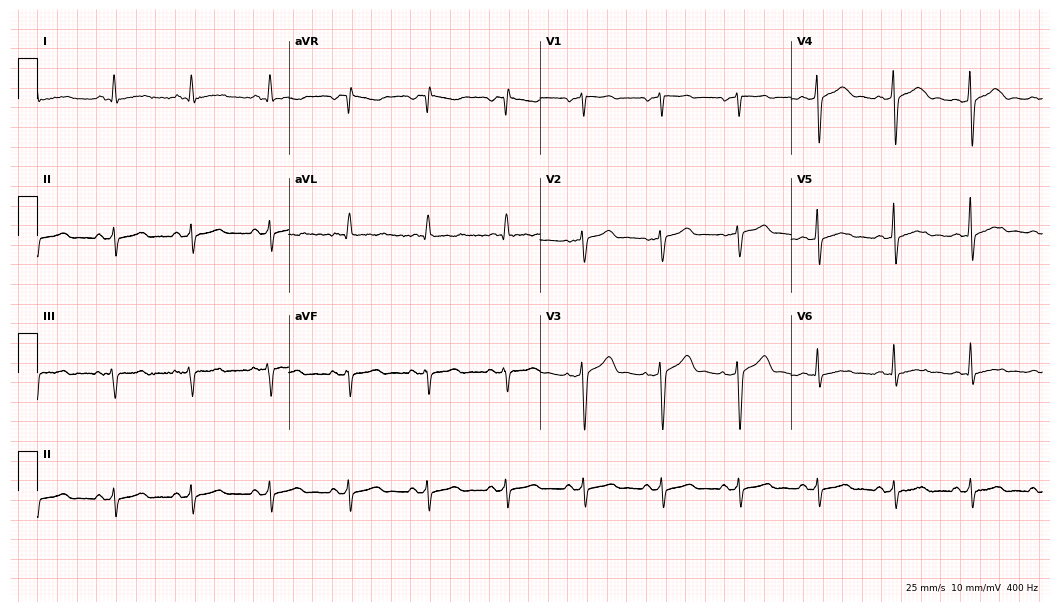
ECG — a 57-year-old woman. Screened for six findings — first-degree AV block, right bundle branch block, left bundle branch block, sinus bradycardia, atrial fibrillation, sinus tachycardia — none is recorded. Findings outside these six are not listed.